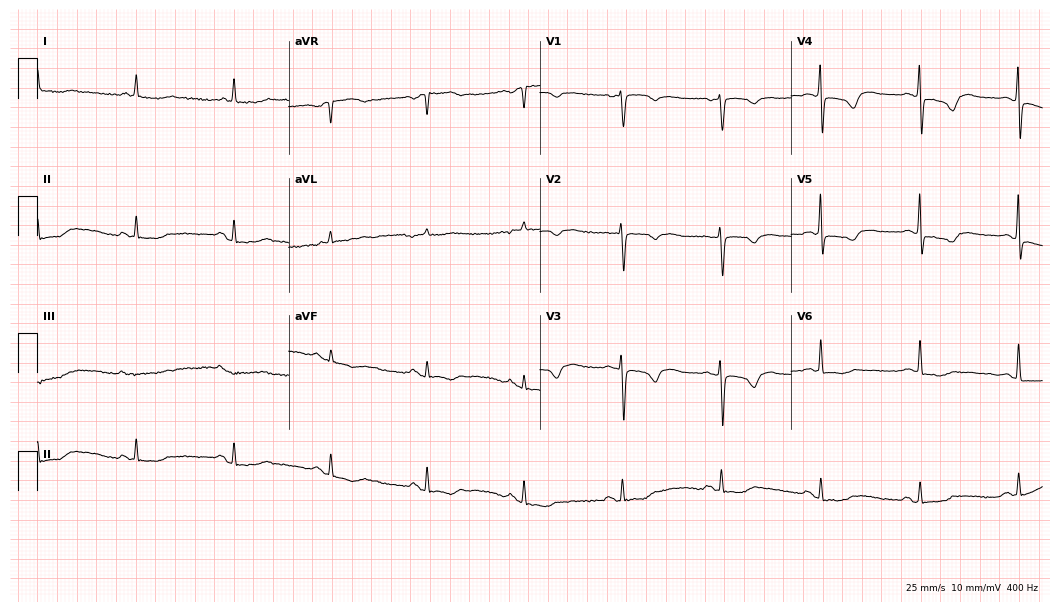
12-lead ECG from a 73-year-old female patient. No first-degree AV block, right bundle branch block, left bundle branch block, sinus bradycardia, atrial fibrillation or sinus tachycardia recorded for this tracing. Only these six findings were labelled.